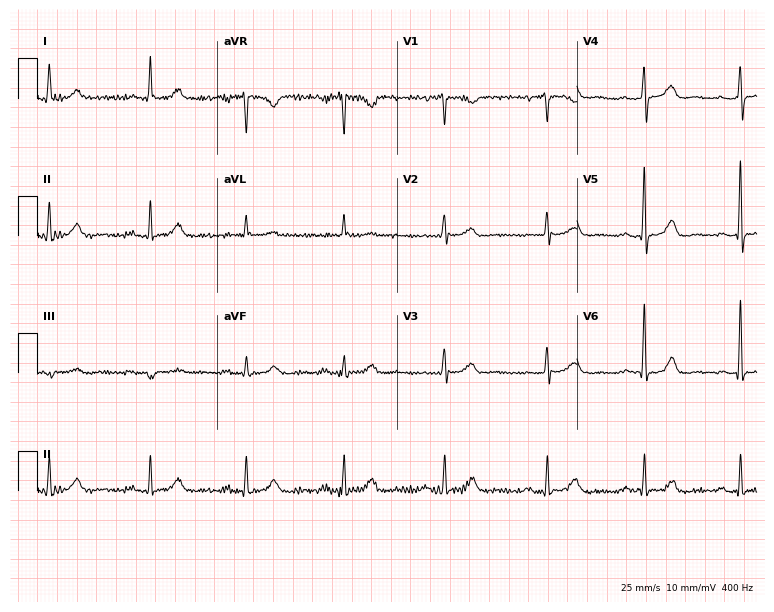
Resting 12-lead electrocardiogram. Patient: a woman, 64 years old. Read as a normal ECG.